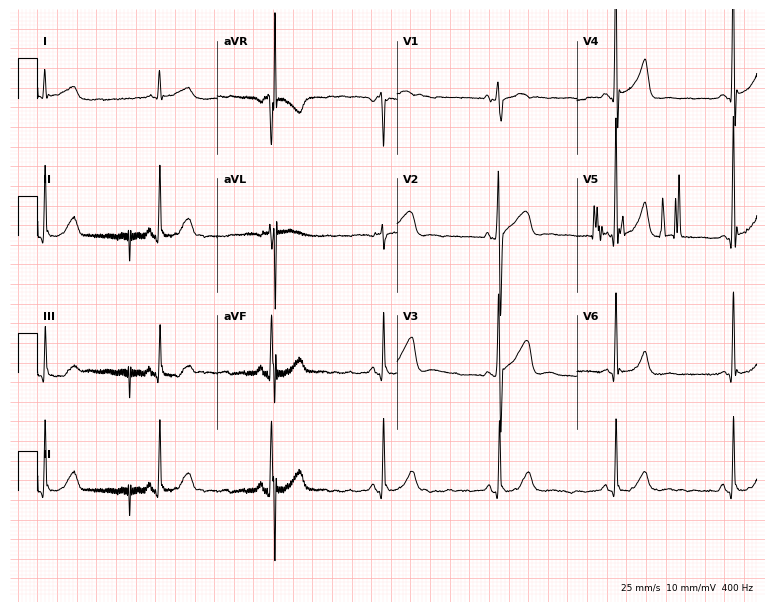
12-lead ECG from a man, 64 years old. Recorded interpretation: within normal limits.